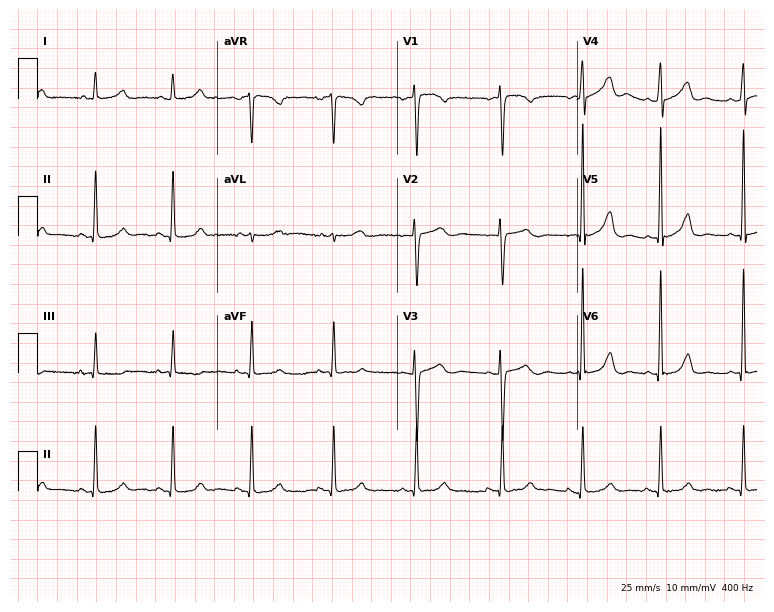
12-lead ECG (7.3-second recording at 400 Hz) from a woman, 51 years old. Labelled as a normal ECG.